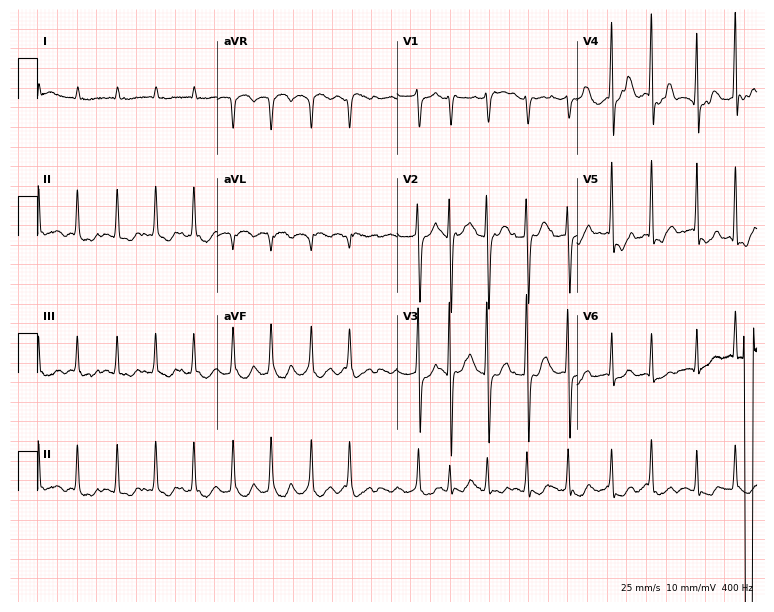
12-lead ECG from a 77-year-old female. Findings include atrial fibrillation.